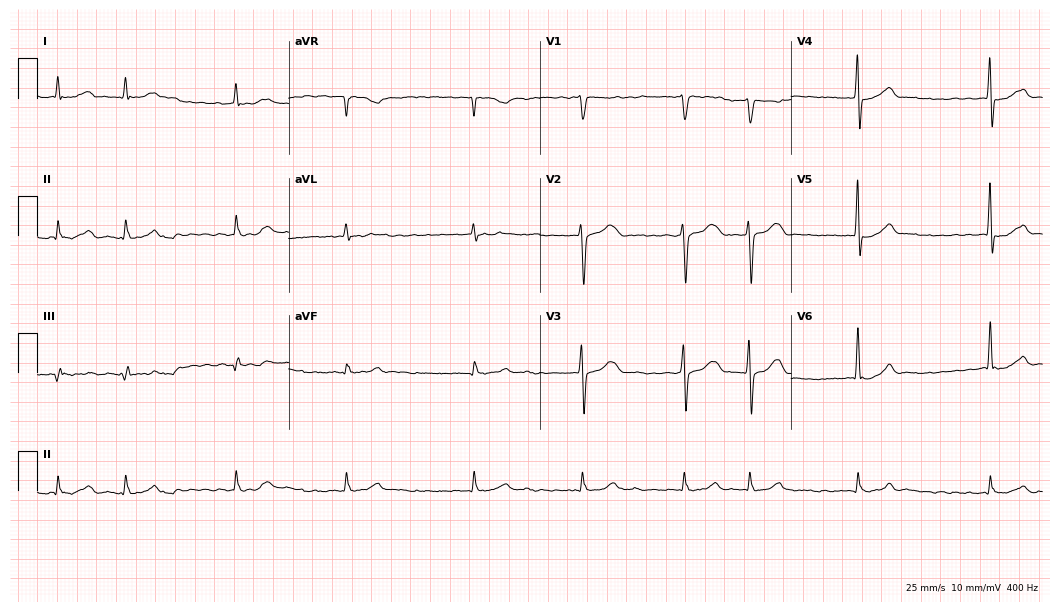
12-lead ECG from a 65-year-old male. Findings include atrial fibrillation.